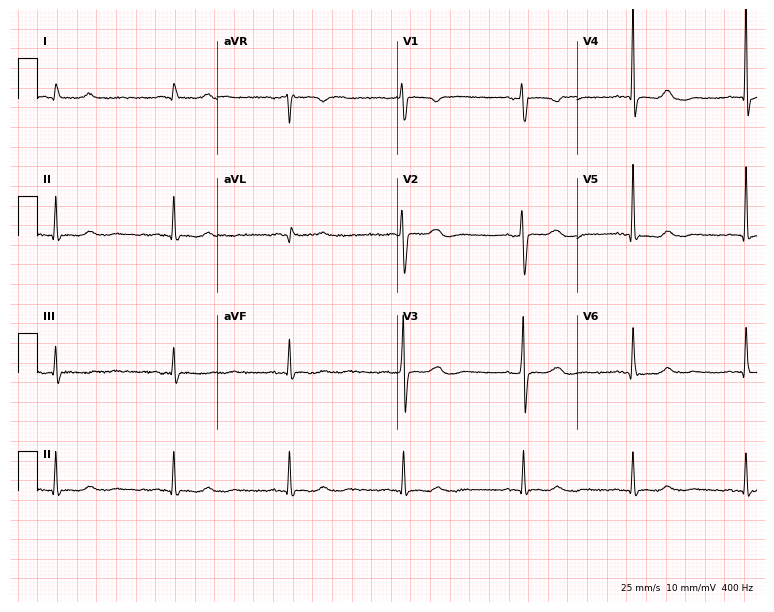
ECG — a 78-year-old female. Labelled as a normal ECG.